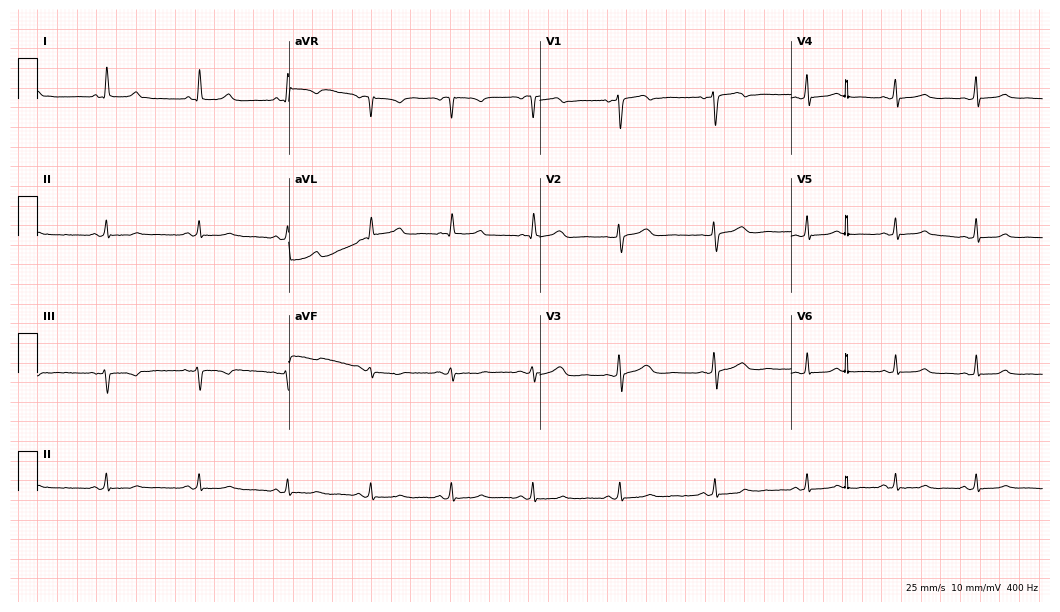
Electrocardiogram (10.2-second recording at 400 Hz), a woman, 41 years old. Overall reading on record: normal ECG.